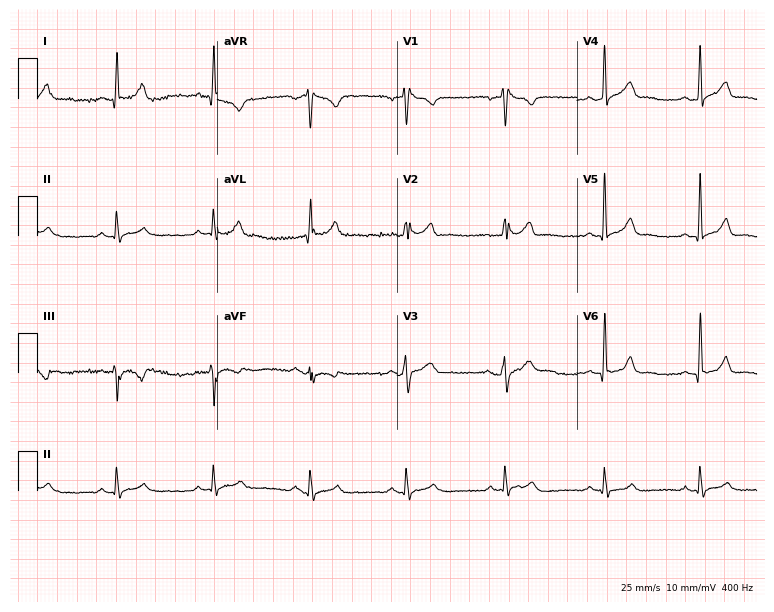
12-lead ECG from a male, 44 years old. Screened for six findings — first-degree AV block, right bundle branch block, left bundle branch block, sinus bradycardia, atrial fibrillation, sinus tachycardia — none is recorded.